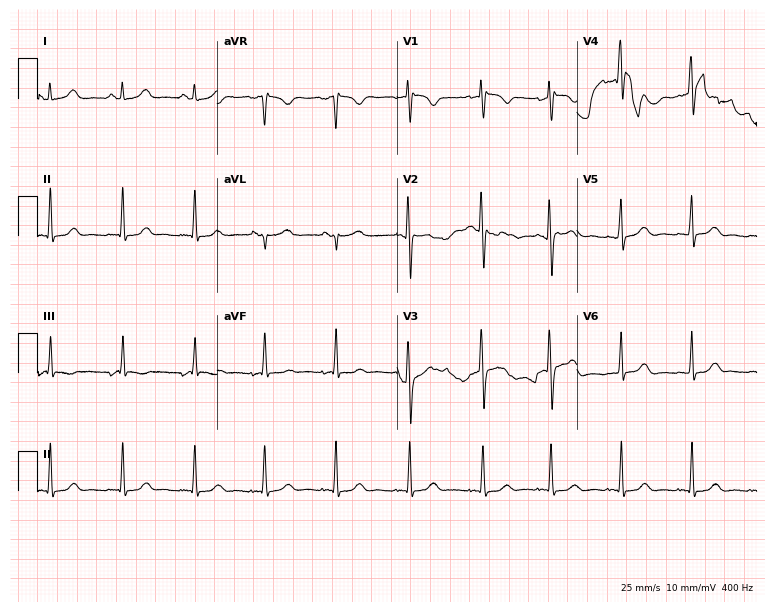
ECG (7.3-second recording at 400 Hz) — a woman, 27 years old. Screened for six findings — first-degree AV block, right bundle branch block, left bundle branch block, sinus bradycardia, atrial fibrillation, sinus tachycardia — none is recorded.